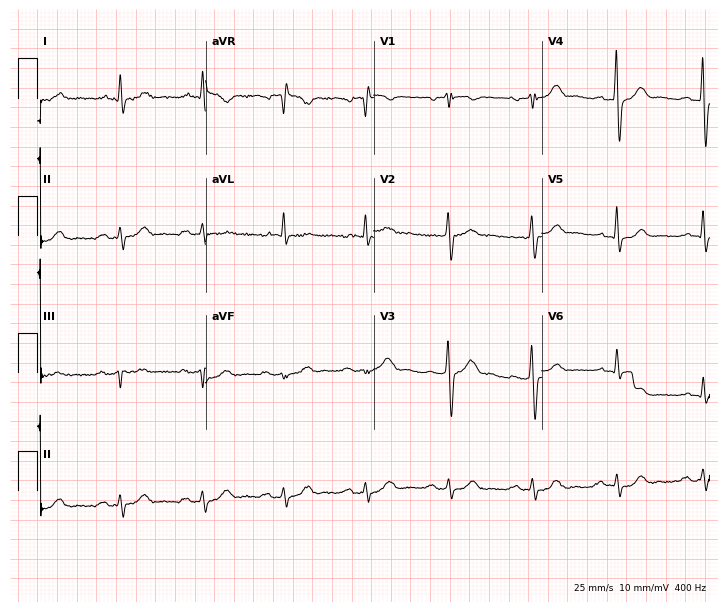
ECG (6.9-second recording at 400 Hz) — a 79-year-old male. Findings include first-degree AV block.